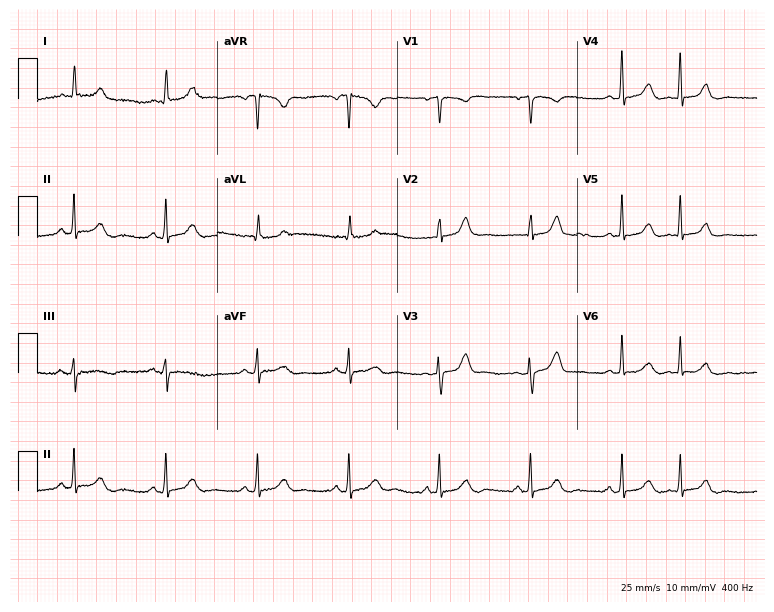
ECG — a 64-year-old woman. Screened for six findings — first-degree AV block, right bundle branch block, left bundle branch block, sinus bradycardia, atrial fibrillation, sinus tachycardia — none is recorded.